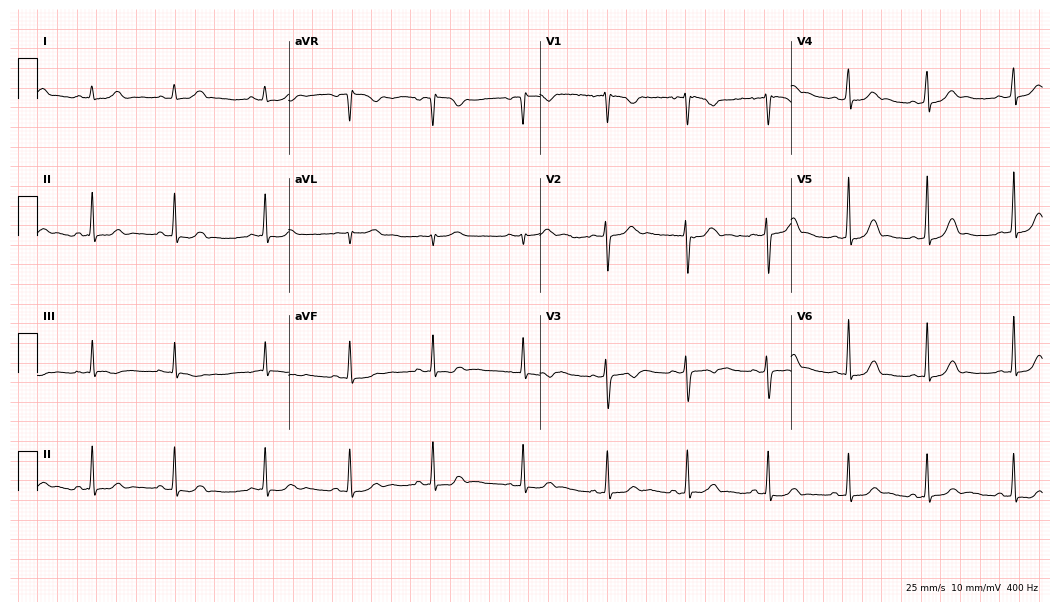
12-lead ECG from a female, 19 years old. Labelled as a normal ECG.